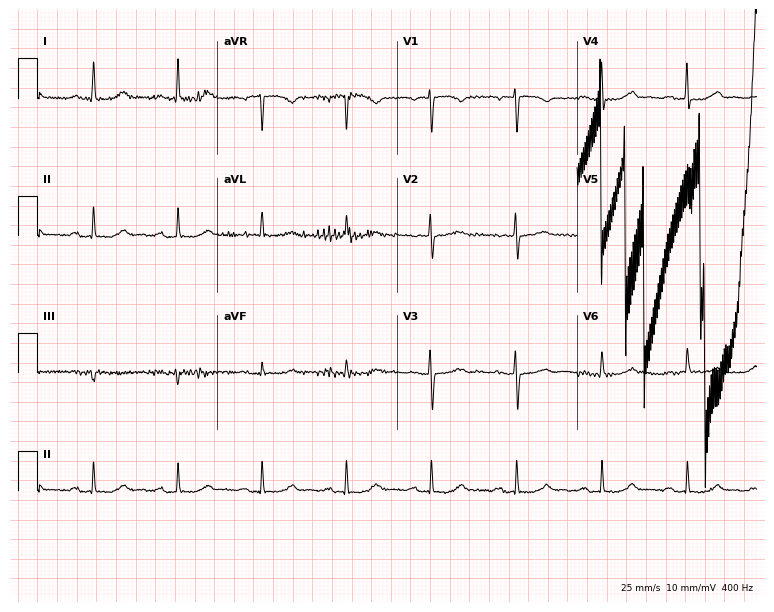
Electrocardiogram, a 71-year-old woman. Of the six screened findings (first-degree AV block, right bundle branch block (RBBB), left bundle branch block (LBBB), sinus bradycardia, atrial fibrillation (AF), sinus tachycardia), none is recorded.